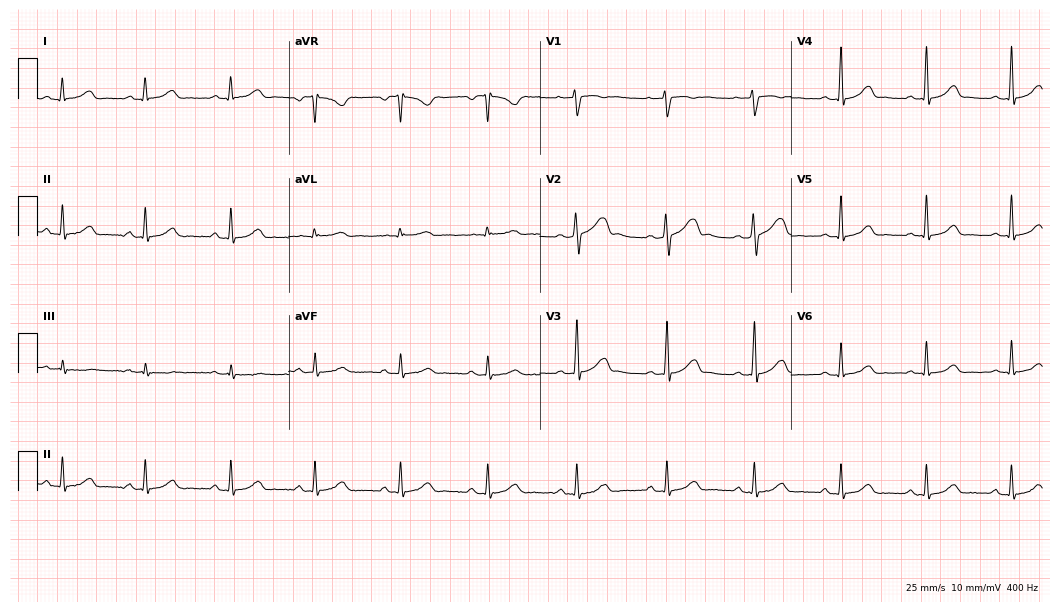
12-lead ECG (10.2-second recording at 400 Hz) from a 27-year-old woman. Labelled as a normal ECG.